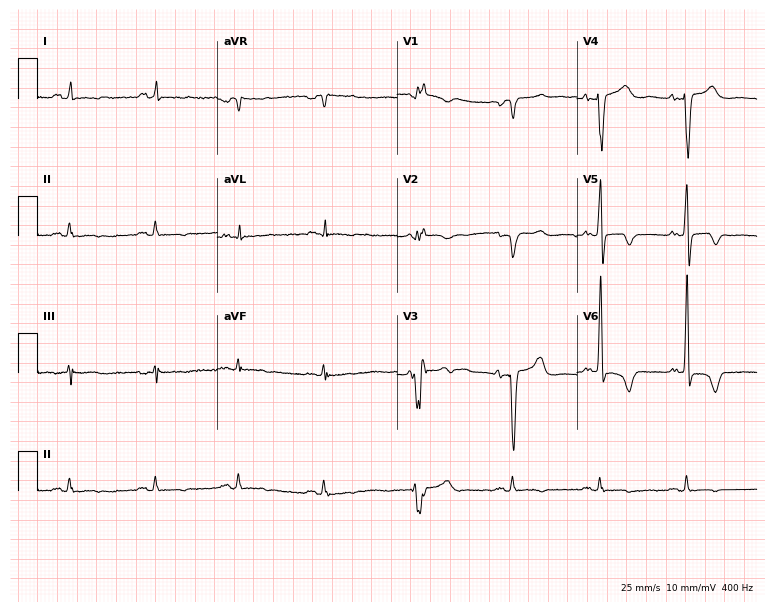
12-lead ECG from a female patient, 58 years old (7.3-second recording at 400 Hz). No first-degree AV block, right bundle branch block, left bundle branch block, sinus bradycardia, atrial fibrillation or sinus tachycardia recorded for this tracing. Other findings, if any, are not listed.